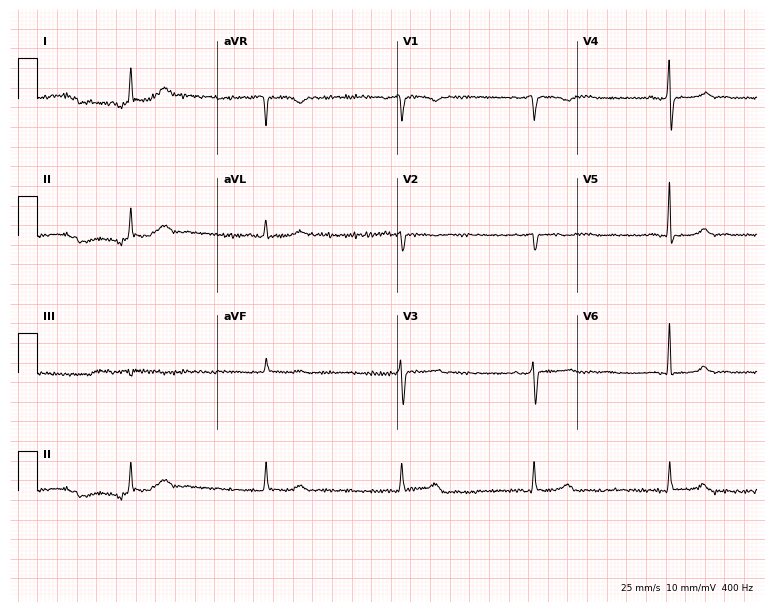
ECG (7.3-second recording at 400 Hz) — a woman, 65 years old. Screened for six findings — first-degree AV block, right bundle branch block (RBBB), left bundle branch block (LBBB), sinus bradycardia, atrial fibrillation (AF), sinus tachycardia — none is recorded.